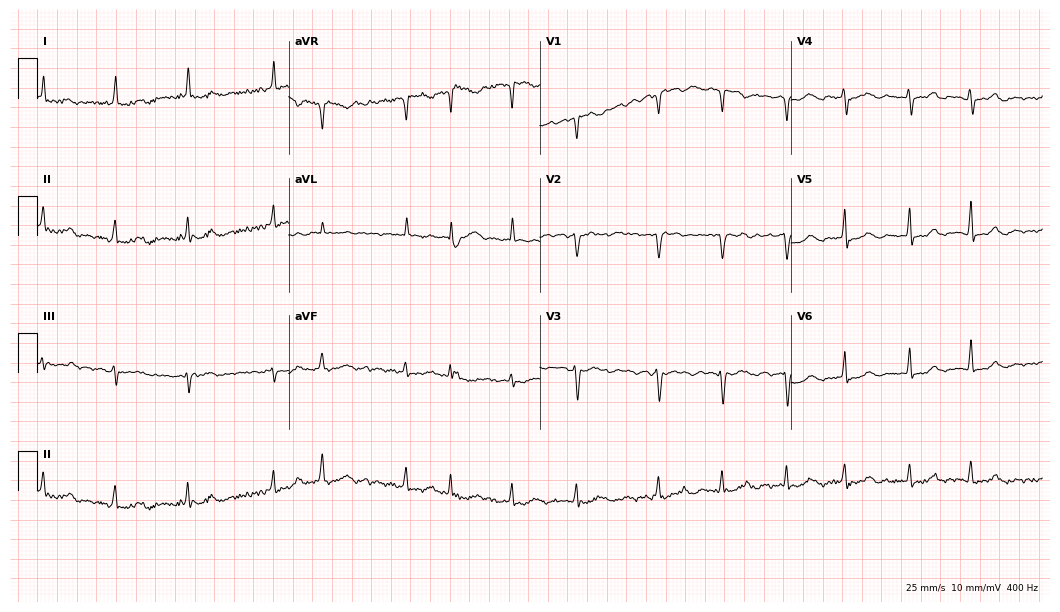
12-lead ECG from a woman, 64 years old. Screened for six findings — first-degree AV block, right bundle branch block, left bundle branch block, sinus bradycardia, atrial fibrillation, sinus tachycardia — none is recorded.